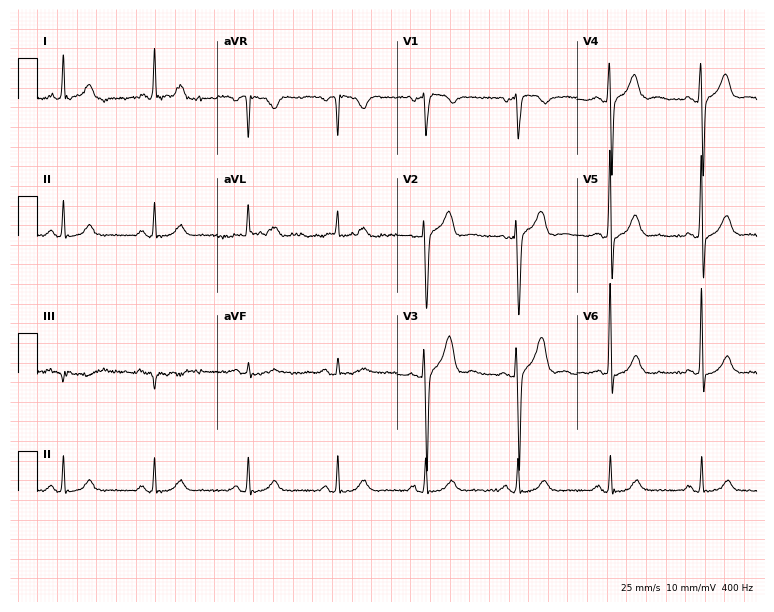
Electrocardiogram, a female, 68 years old. Of the six screened findings (first-degree AV block, right bundle branch block, left bundle branch block, sinus bradycardia, atrial fibrillation, sinus tachycardia), none is recorded.